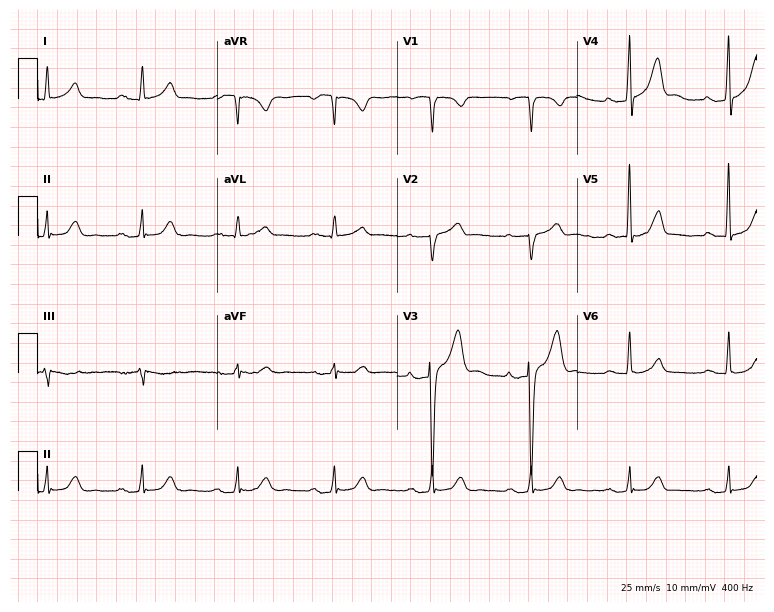
ECG (7.3-second recording at 400 Hz) — a 65-year-old woman. Labelled as a normal ECG.